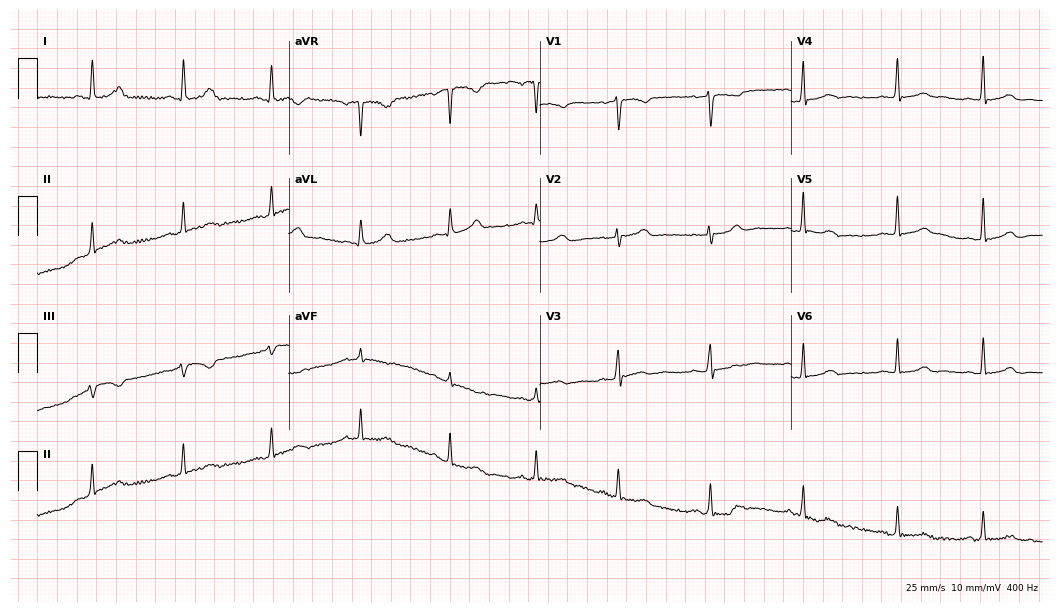
12-lead ECG from a female patient, 38 years old. Screened for six findings — first-degree AV block, right bundle branch block (RBBB), left bundle branch block (LBBB), sinus bradycardia, atrial fibrillation (AF), sinus tachycardia — none is recorded.